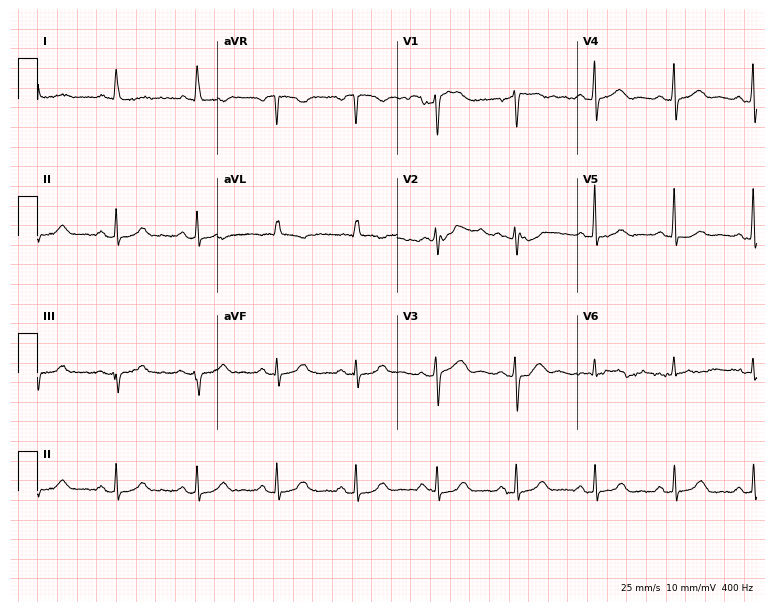
12-lead ECG from an 80-year-old female (7.3-second recording at 400 Hz). Recorded interpretation: within normal limits.